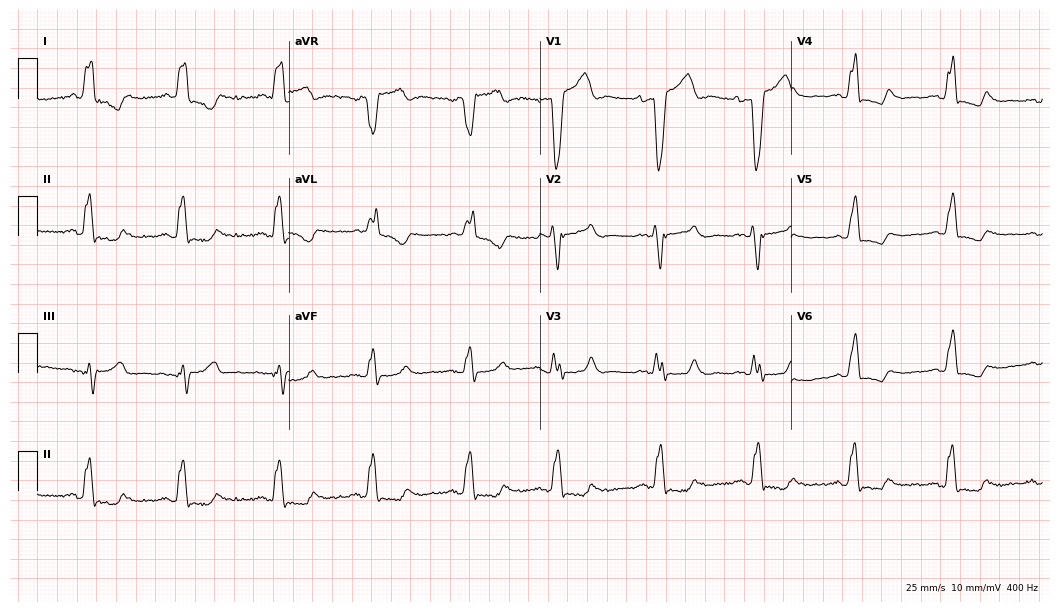
Electrocardiogram (10.2-second recording at 400 Hz), a 74-year-old woman. Interpretation includes left bundle branch block (LBBB).